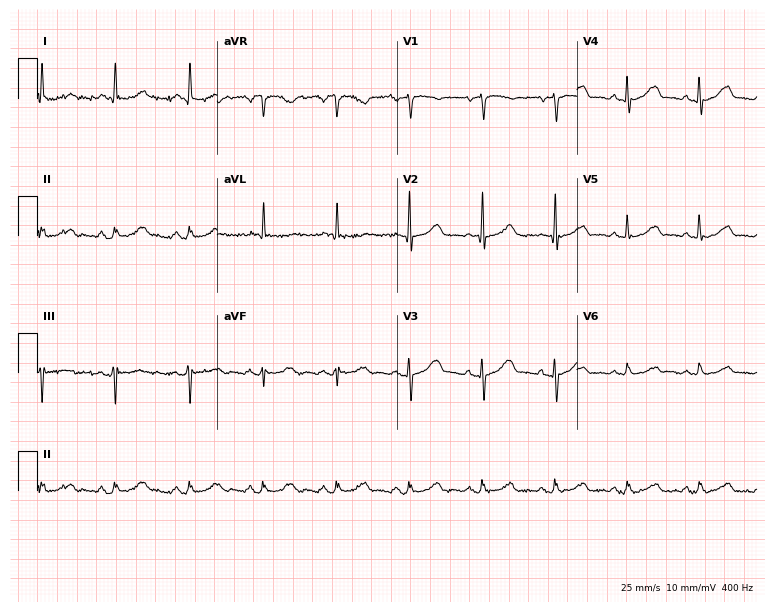
12-lead ECG from a 76-year-old female patient (7.3-second recording at 400 Hz). Recorded interpretation: within normal limits.